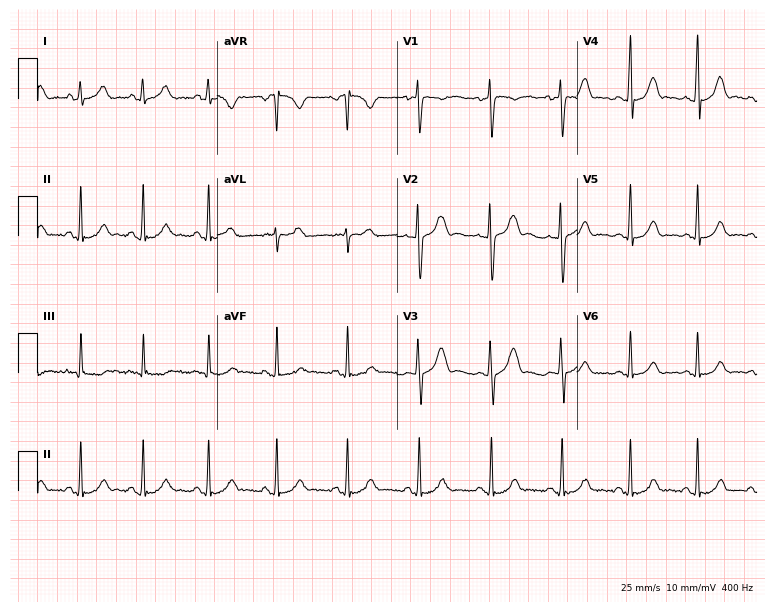
12-lead ECG from a woman, 23 years old. Labelled as a normal ECG.